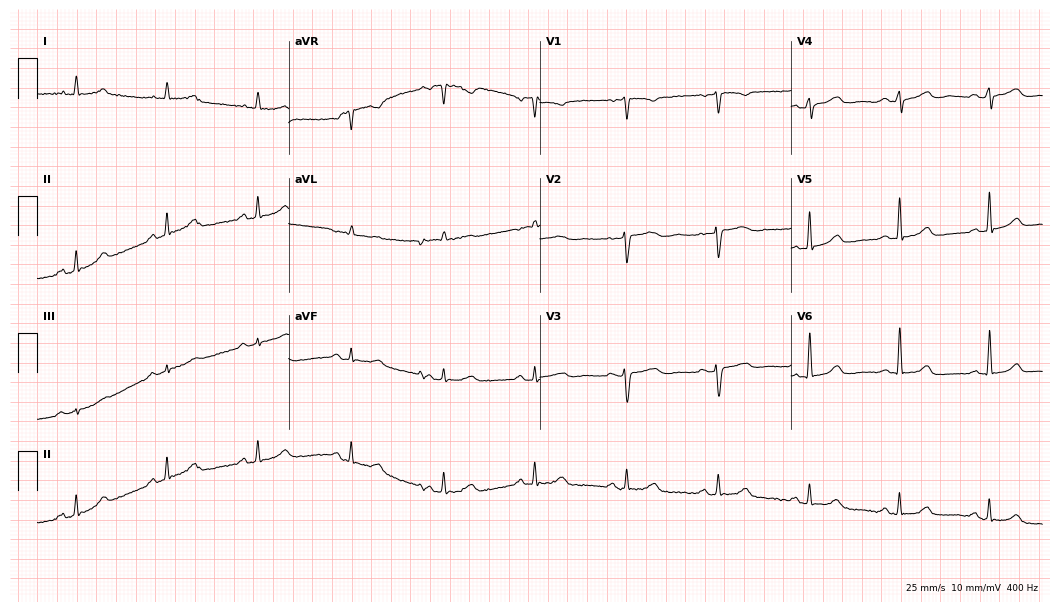
Standard 12-lead ECG recorded from a female patient, 58 years old. Read as a normal ECG.